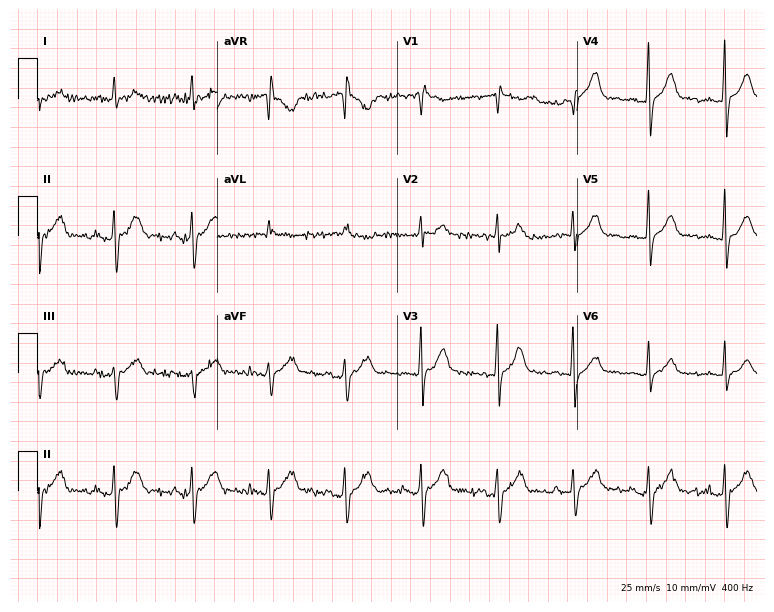
12-lead ECG from a 62-year-old male. Labelled as a normal ECG.